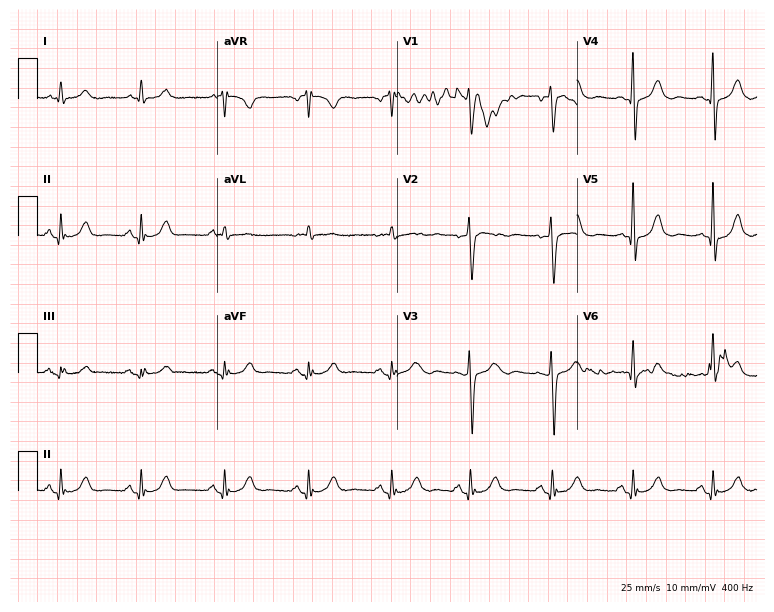
12-lead ECG from an 85-year-old male. Labelled as a normal ECG.